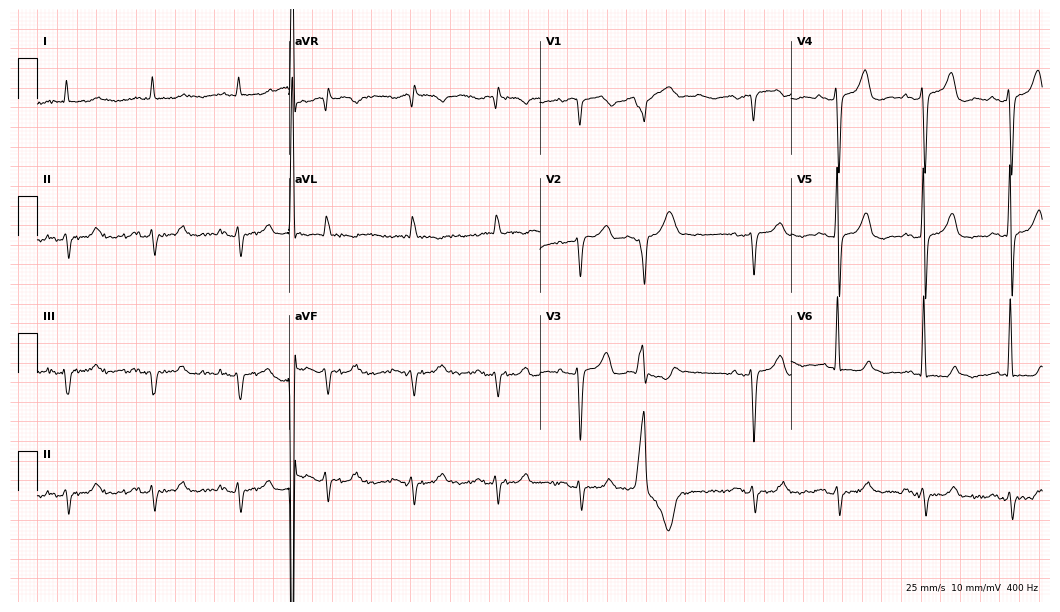
12-lead ECG from an 84-year-old male patient. No first-degree AV block, right bundle branch block, left bundle branch block, sinus bradycardia, atrial fibrillation or sinus tachycardia recorded for this tracing.